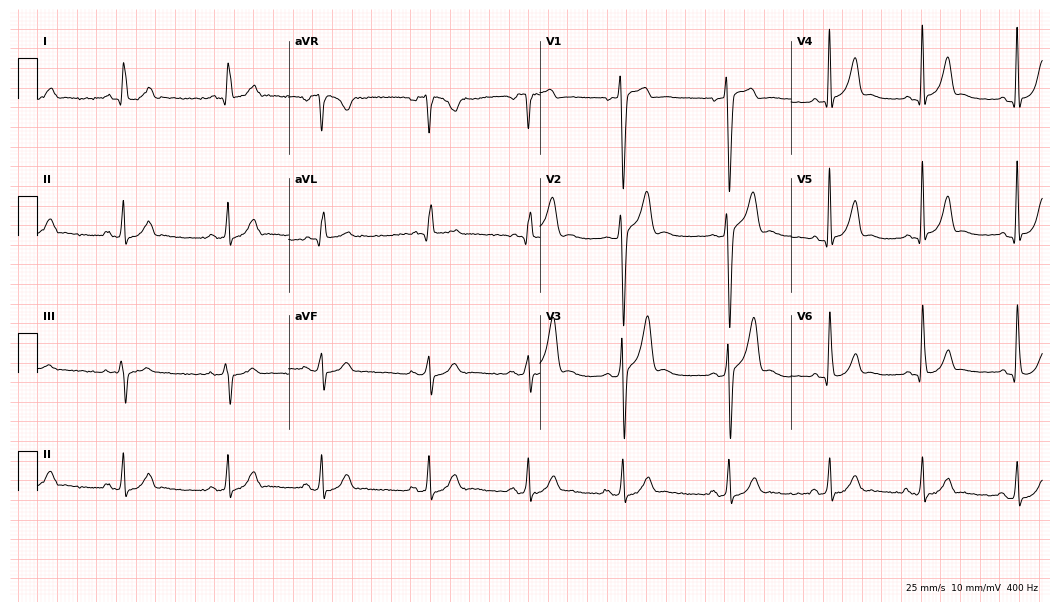
Electrocardiogram (10.2-second recording at 400 Hz), a 20-year-old male patient. Of the six screened findings (first-degree AV block, right bundle branch block (RBBB), left bundle branch block (LBBB), sinus bradycardia, atrial fibrillation (AF), sinus tachycardia), none is recorded.